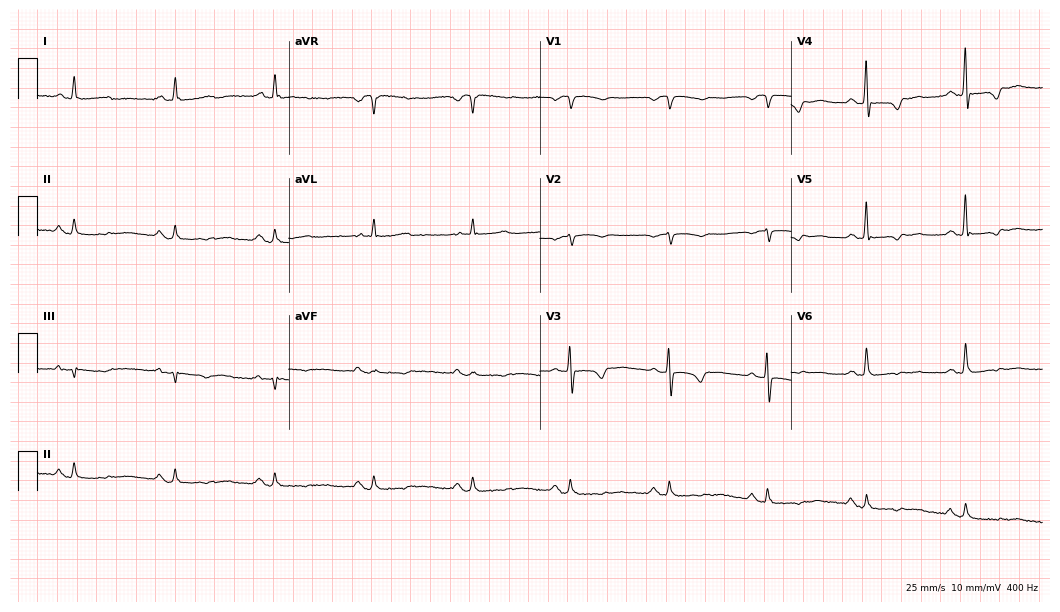
12-lead ECG from an 85-year-old female patient. No first-degree AV block, right bundle branch block, left bundle branch block, sinus bradycardia, atrial fibrillation or sinus tachycardia recorded for this tracing.